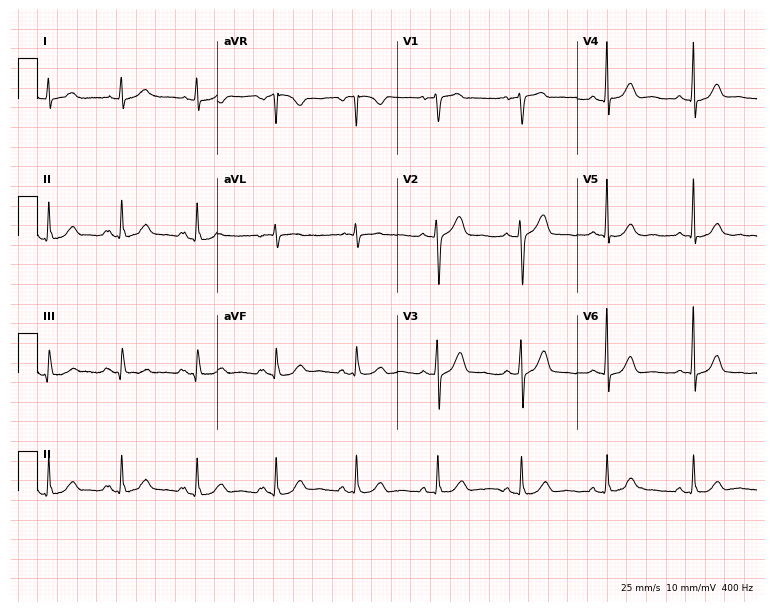
12-lead ECG from a female patient, 69 years old (7.3-second recording at 400 Hz). Recorded interpretation: within normal limits.